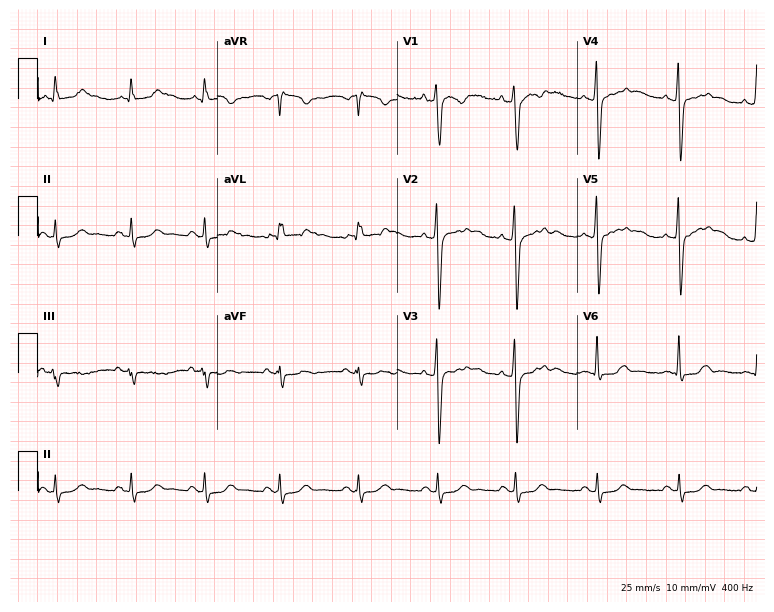
ECG — a 39-year-old man. Screened for six findings — first-degree AV block, right bundle branch block (RBBB), left bundle branch block (LBBB), sinus bradycardia, atrial fibrillation (AF), sinus tachycardia — none is recorded.